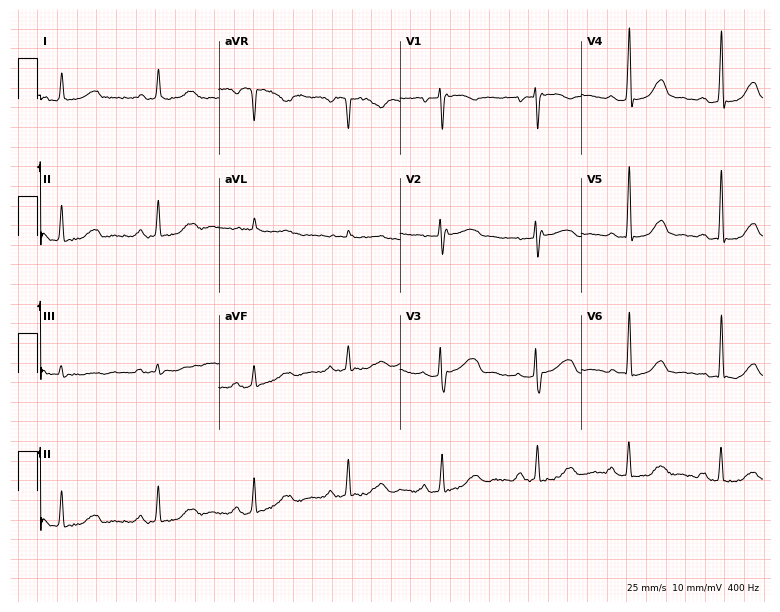
ECG — a female patient, 69 years old. Screened for six findings — first-degree AV block, right bundle branch block (RBBB), left bundle branch block (LBBB), sinus bradycardia, atrial fibrillation (AF), sinus tachycardia — none is recorded. Other findings, if any, are not listed.